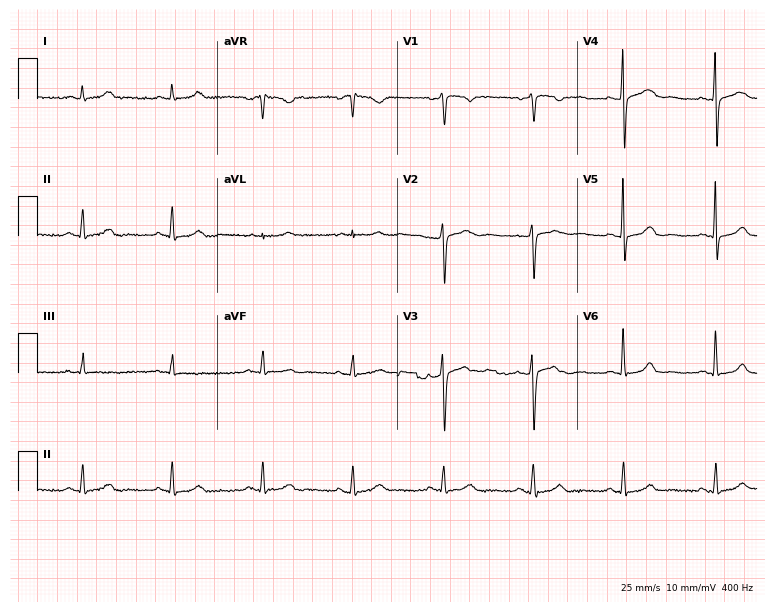
12-lead ECG from a woman, 67 years old. No first-degree AV block, right bundle branch block, left bundle branch block, sinus bradycardia, atrial fibrillation or sinus tachycardia recorded for this tracing. Only these six findings were labelled.